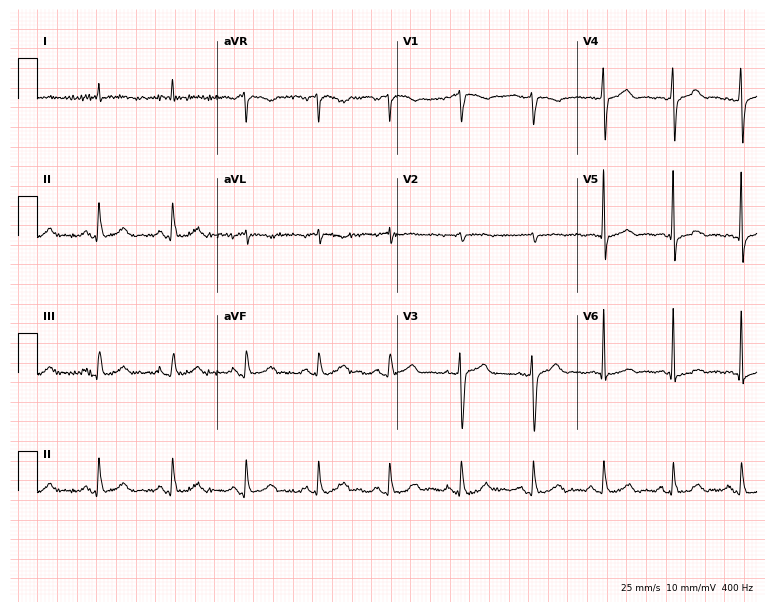
Electrocardiogram, a 71-year-old male. Overall reading on record: normal ECG.